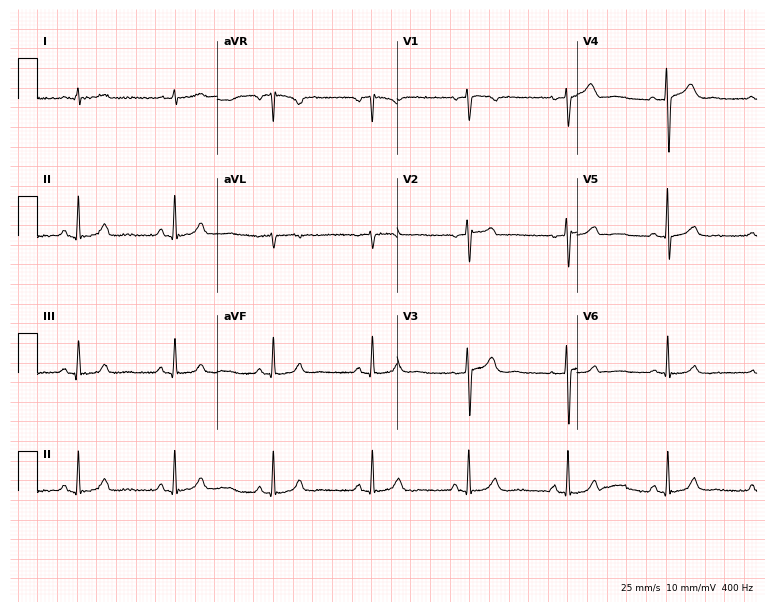
ECG (7.3-second recording at 400 Hz) — a female, 73 years old. Labelled as a normal ECG.